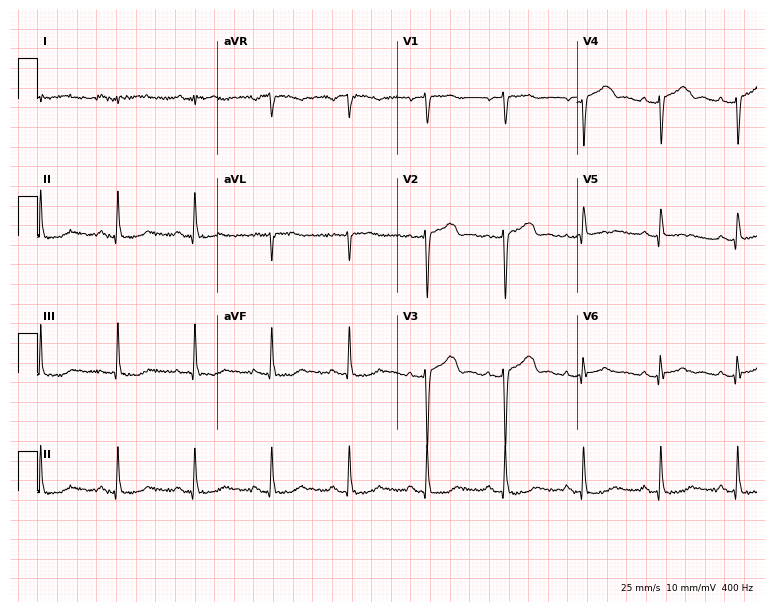
12-lead ECG from a woman, 60 years old. No first-degree AV block, right bundle branch block, left bundle branch block, sinus bradycardia, atrial fibrillation or sinus tachycardia recorded for this tracing.